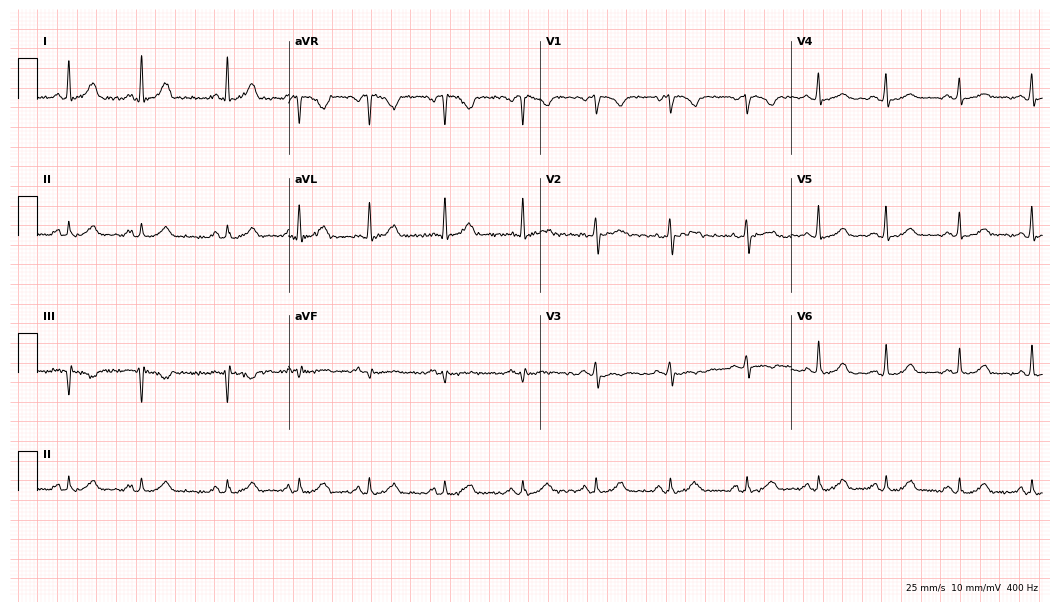
12-lead ECG from a 25-year-old female. Recorded interpretation: within normal limits.